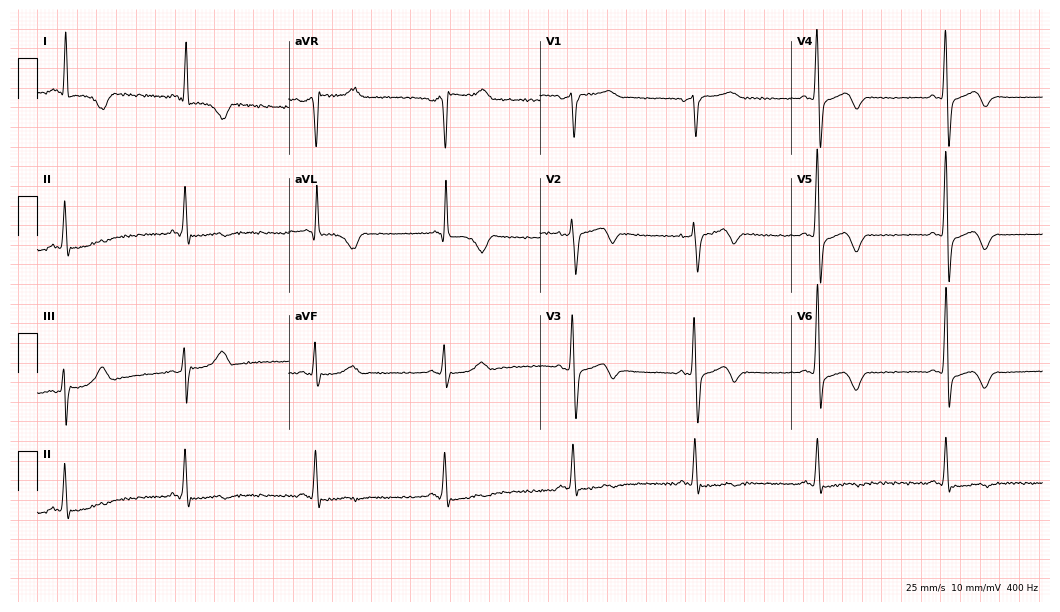
Resting 12-lead electrocardiogram (10.2-second recording at 400 Hz). Patient: a 62-year-old female. The tracing shows sinus bradycardia (a sinus rate of 50 beats per minute or less).